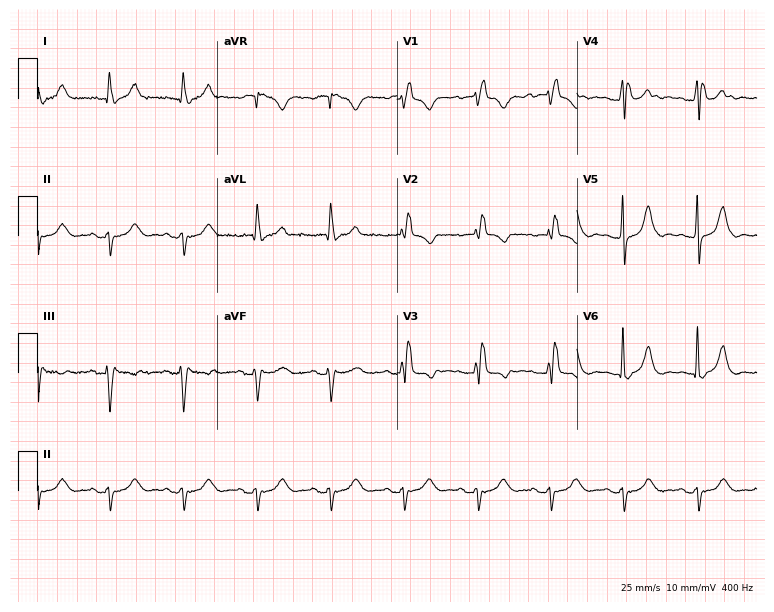
Standard 12-lead ECG recorded from a female patient, 83 years old (7.3-second recording at 400 Hz). The tracing shows right bundle branch block (RBBB).